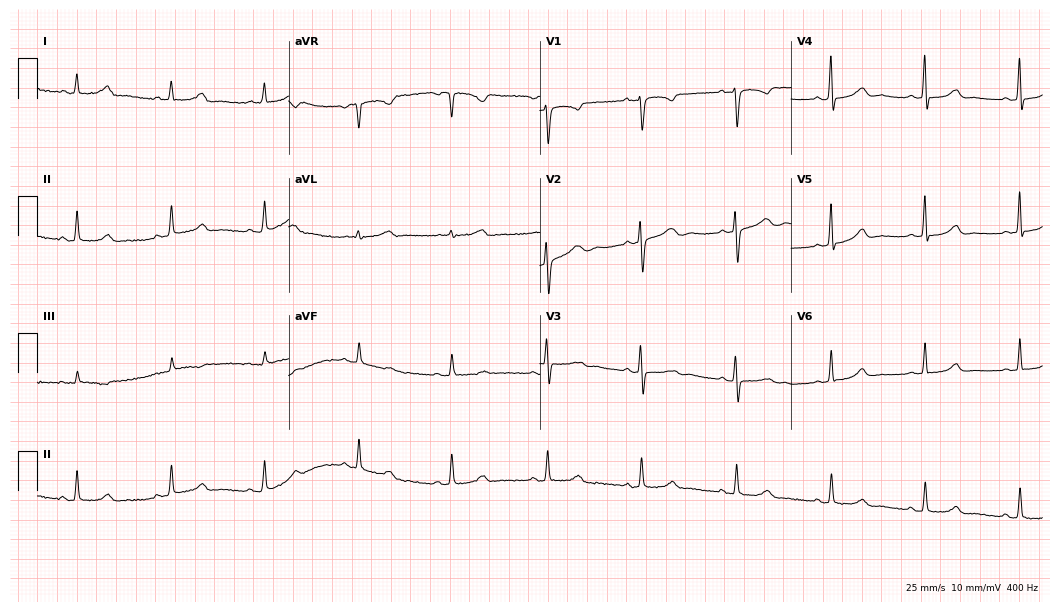
ECG (10.2-second recording at 400 Hz) — a 45-year-old female patient. Labelled as a normal ECG.